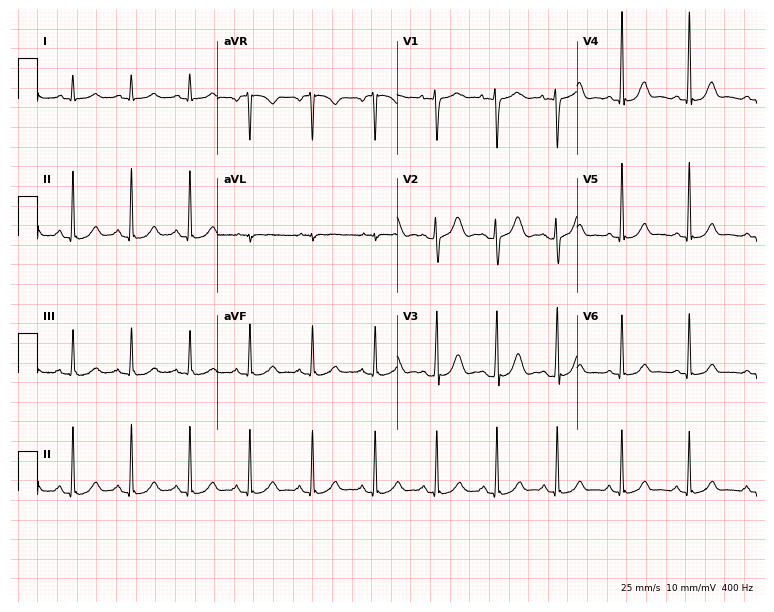
ECG — an 18-year-old female patient. Screened for six findings — first-degree AV block, right bundle branch block (RBBB), left bundle branch block (LBBB), sinus bradycardia, atrial fibrillation (AF), sinus tachycardia — none is recorded.